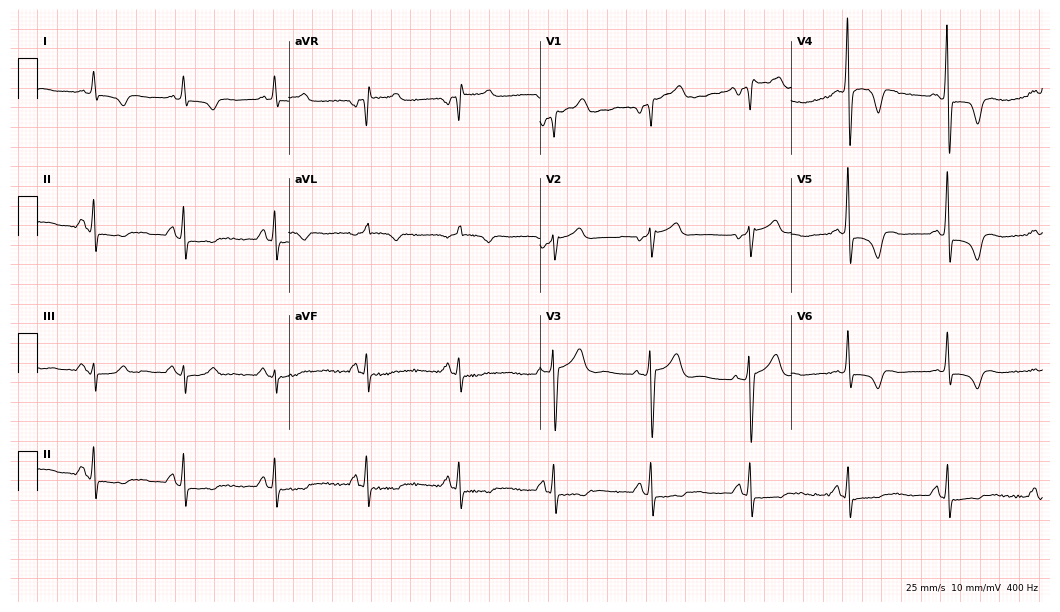
Standard 12-lead ECG recorded from a 61-year-old female patient (10.2-second recording at 400 Hz). None of these six findings is recorded: first-degree AV block, right bundle branch block, left bundle branch block, sinus bradycardia, atrial fibrillation, sinus tachycardia.